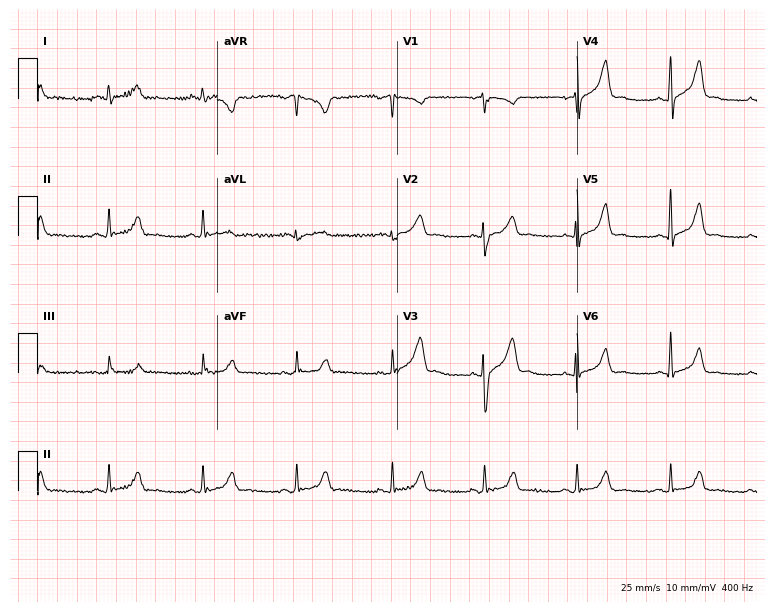
Electrocardiogram, a 28-year-old female patient. Of the six screened findings (first-degree AV block, right bundle branch block, left bundle branch block, sinus bradycardia, atrial fibrillation, sinus tachycardia), none is recorded.